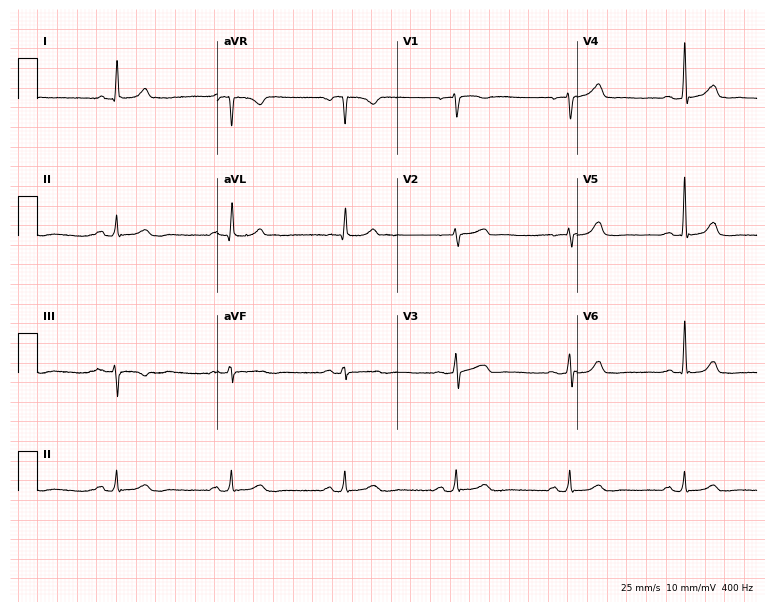
ECG — a 62-year-old woman. Labelled as a normal ECG.